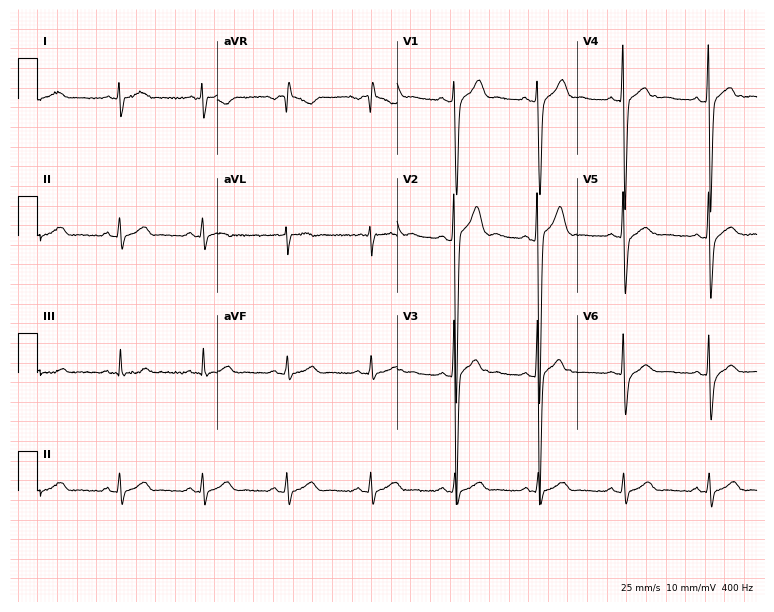
Electrocardiogram, a 22-year-old male. Of the six screened findings (first-degree AV block, right bundle branch block (RBBB), left bundle branch block (LBBB), sinus bradycardia, atrial fibrillation (AF), sinus tachycardia), none is recorded. Findings outside these six are not listed.